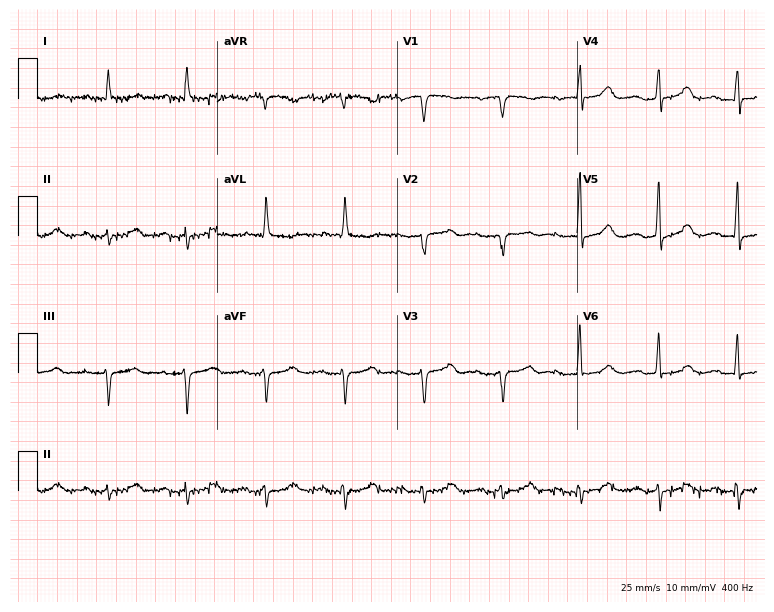
ECG (7.3-second recording at 400 Hz) — a 76-year-old male. Screened for six findings — first-degree AV block, right bundle branch block, left bundle branch block, sinus bradycardia, atrial fibrillation, sinus tachycardia — none is recorded.